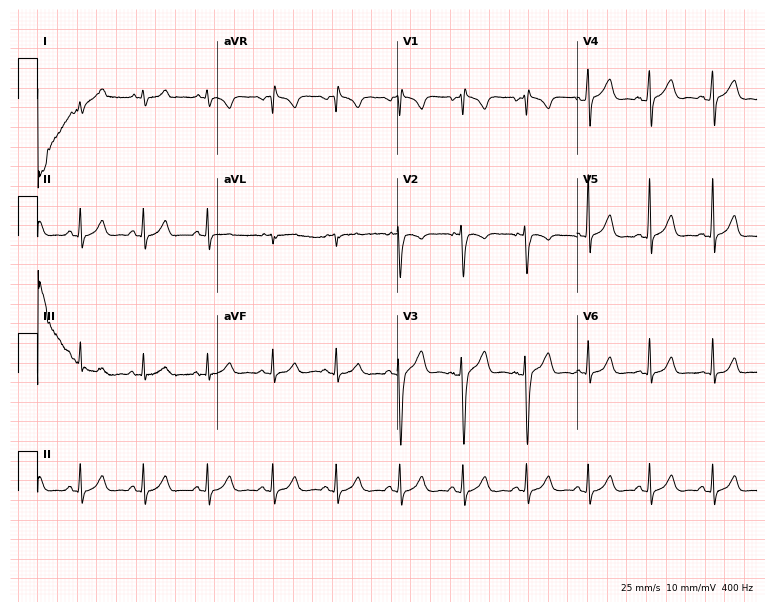
12-lead ECG from a 17-year-old male. Recorded interpretation: within normal limits.